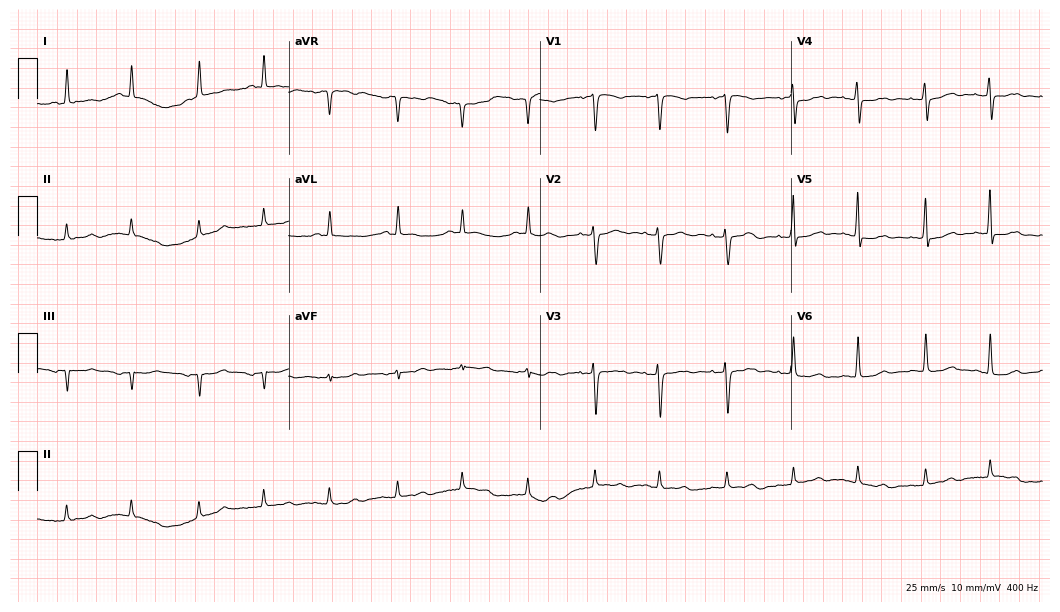
Resting 12-lead electrocardiogram. Patient: a 74-year-old female. Read as a normal ECG.